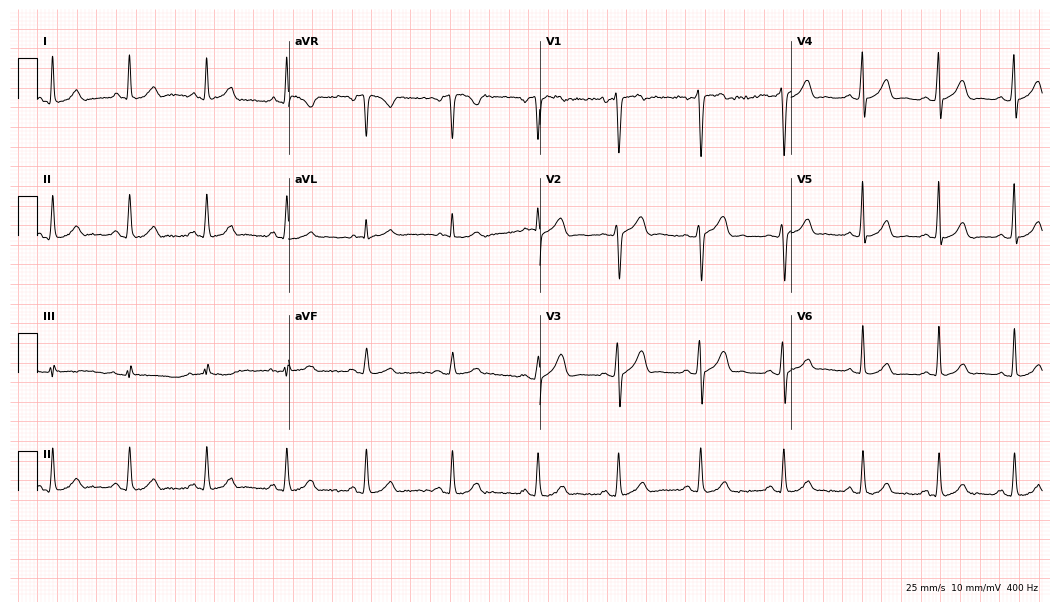
ECG (10.2-second recording at 400 Hz) — a 33-year-old man. Screened for six findings — first-degree AV block, right bundle branch block (RBBB), left bundle branch block (LBBB), sinus bradycardia, atrial fibrillation (AF), sinus tachycardia — none is recorded. Only these six findings were labelled.